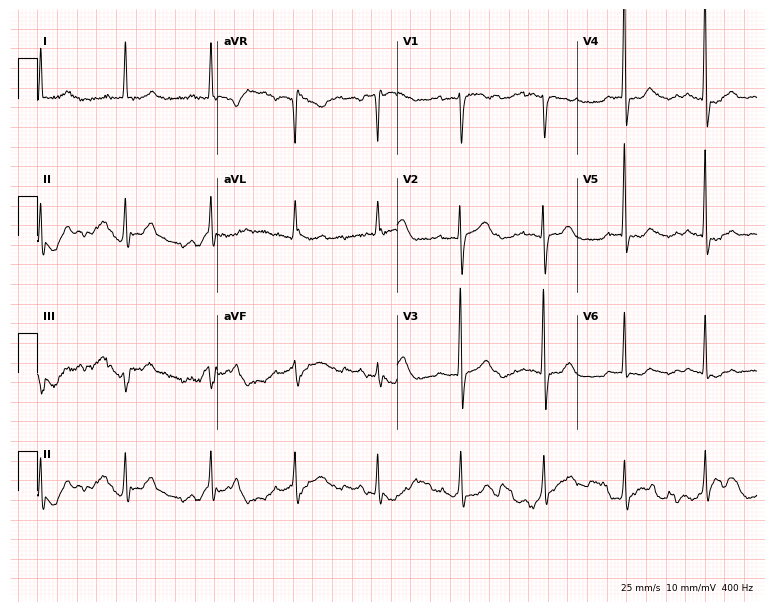
12-lead ECG from a female, 44 years old. No first-degree AV block, right bundle branch block (RBBB), left bundle branch block (LBBB), sinus bradycardia, atrial fibrillation (AF) or sinus tachycardia recorded for this tracing.